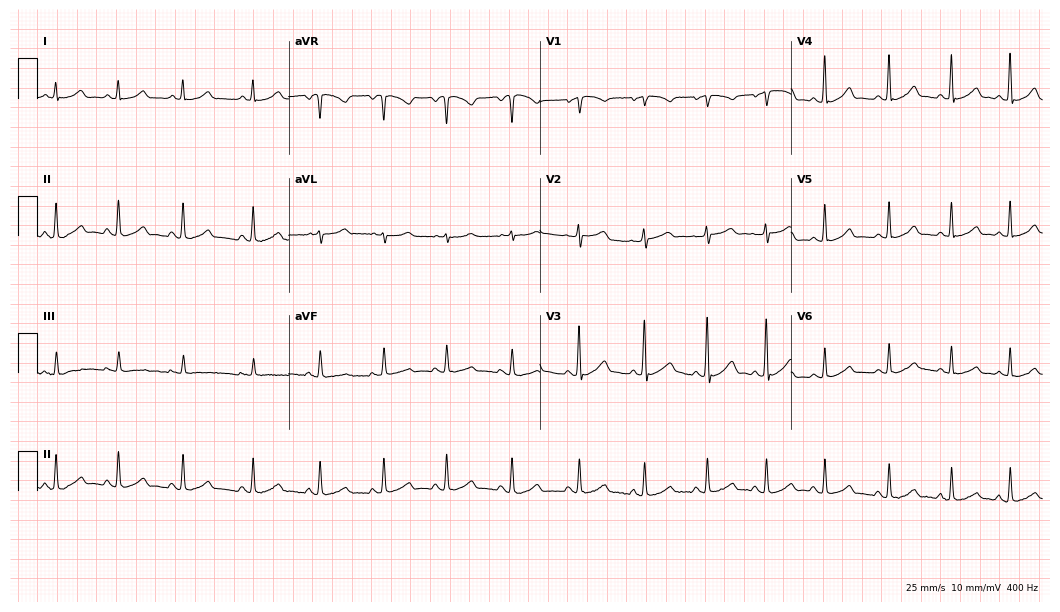
Standard 12-lead ECG recorded from a male patient, 39 years old. None of these six findings is recorded: first-degree AV block, right bundle branch block, left bundle branch block, sinus bradycardia, atrial fibrillation, sinus tachycardia.